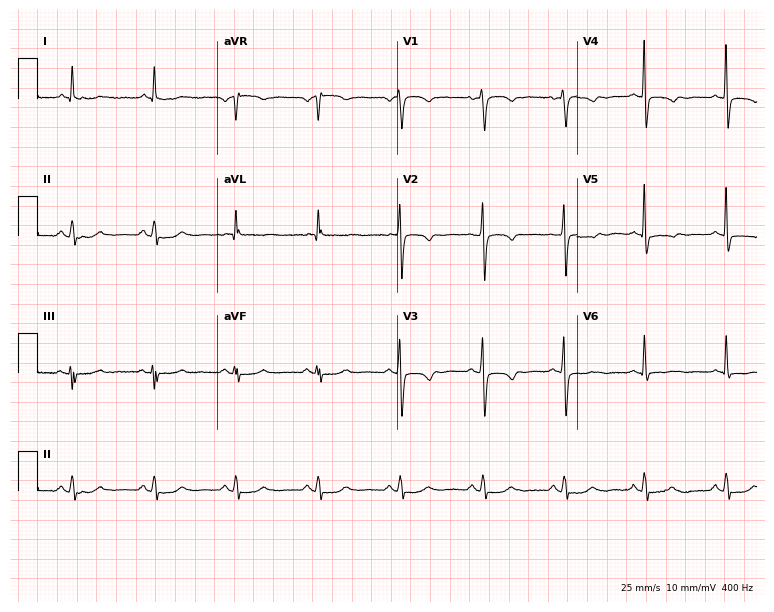
ECG (7.3-second recording at 400 Hz) — a woman, 74 years old. Screened for six findings — first-degree AV block, right bundle branch block, left bundle branch block, sinus bradycardia, atrial fibrillation, sinus tachycardia — none is recorded. Only these six findings were labelled.